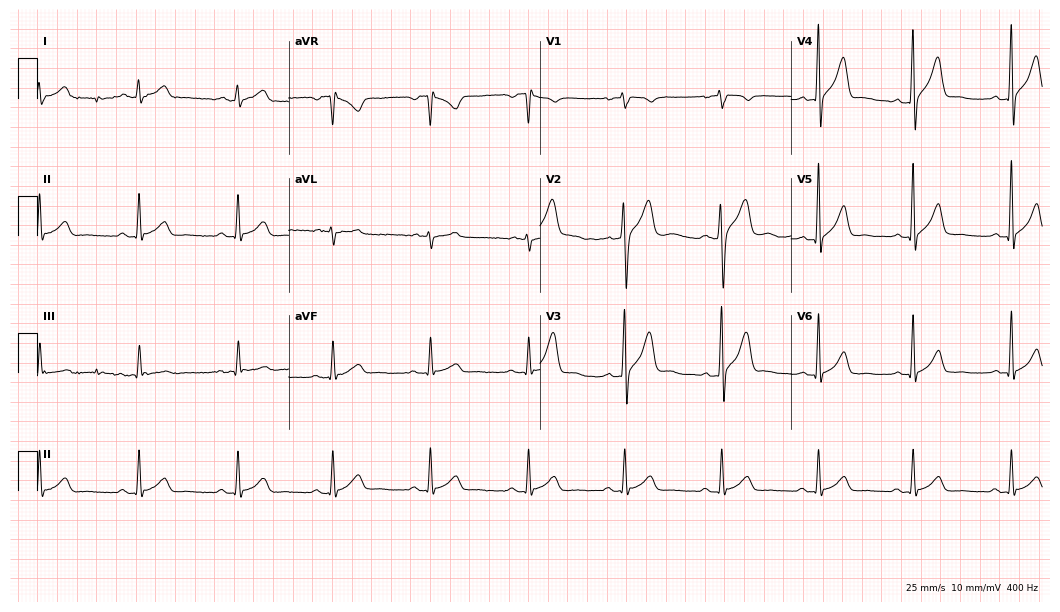
Standard 12-lead ECG recorded from a male patient, 38 years old (10.2-second recording at 400 Hz). Read as a normal ECG.